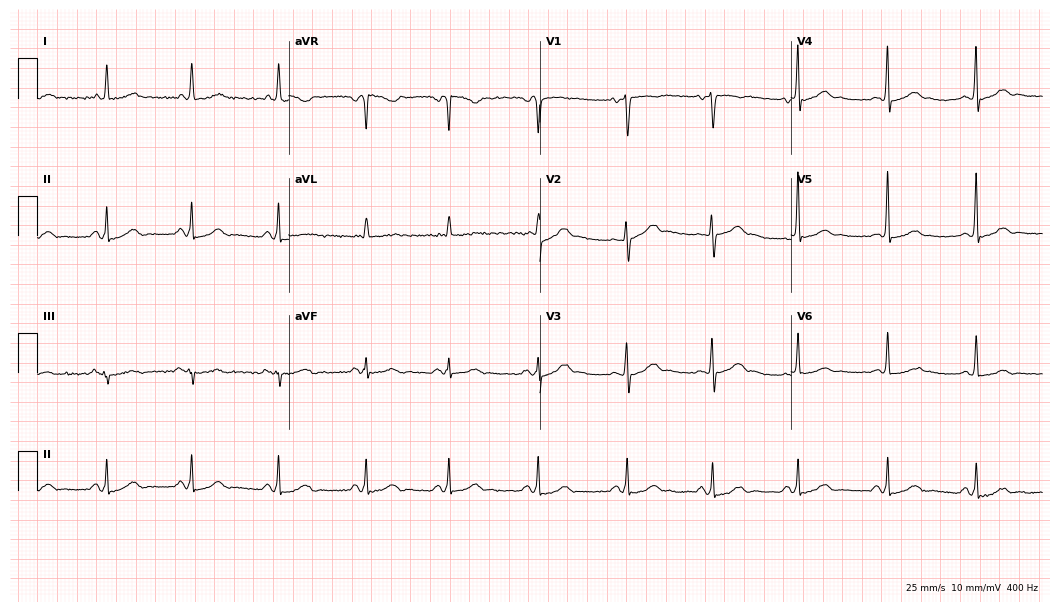
Electrocardiogram (10.2-second recording at 400 Hz), a 58-year-old female. Of the six screened findings (first-degree AV block, right bundle branch block, left bundle branch block, sinus bradycardia, atrial fibrillation, sinus tachycardia), none is recorded.